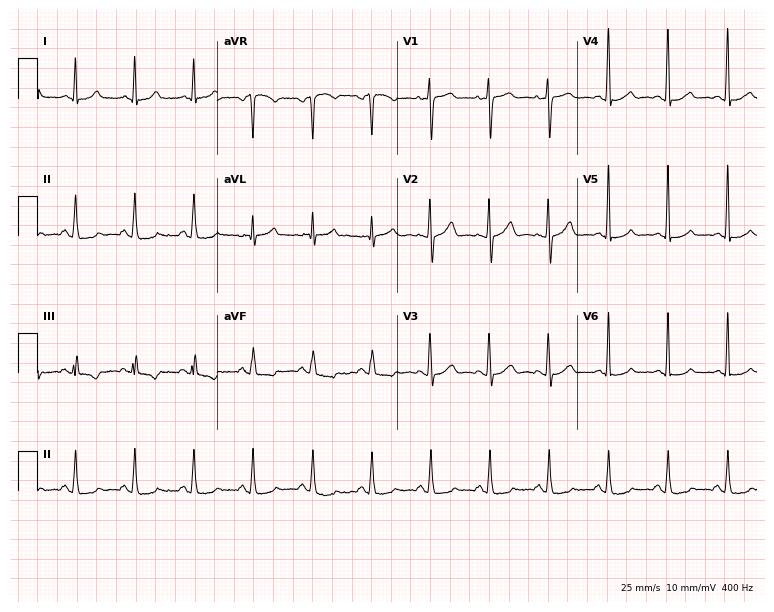
Standard 12-lead ECG recorded from a female, 63 years old (7.3-second recording at 400 Hz). None of these six findings is recorded: first-degree AV block, right bundle branch block (RBBB), left bundle branch block (LBBB), sinus bradycardia, atrial fibrillation (AF), sinus tachycardia. Only these six findings were labelled.